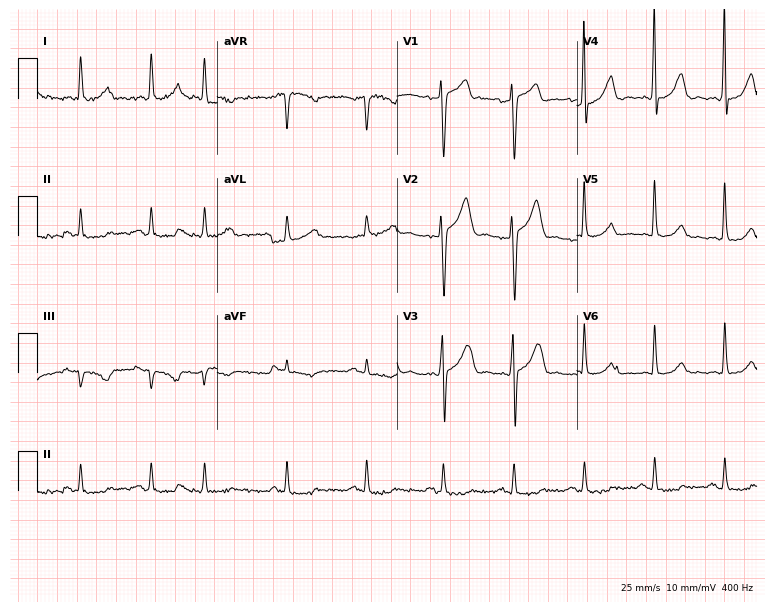
ECG — an 81-year-old male. Screened for six findings — first-degree AV block, right bundle branch block, left bundle branch block, sinus bradycardia, atrial fibrillation, sinus tachycardia — none is recorded.